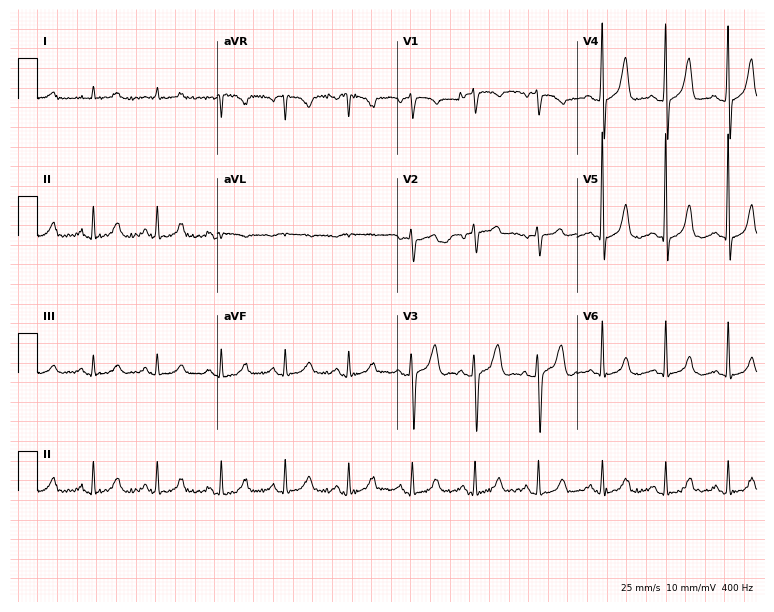
ECG — a 76-year-old male. Screened for six findings — first-degree AV block, right bundle branch block (RBBB), left bundle branch block (LBBB), sinus bradycardia, atrial fibrillation (AF), sinus tachycardia — none is recorded. Findings outside these six are not listed.